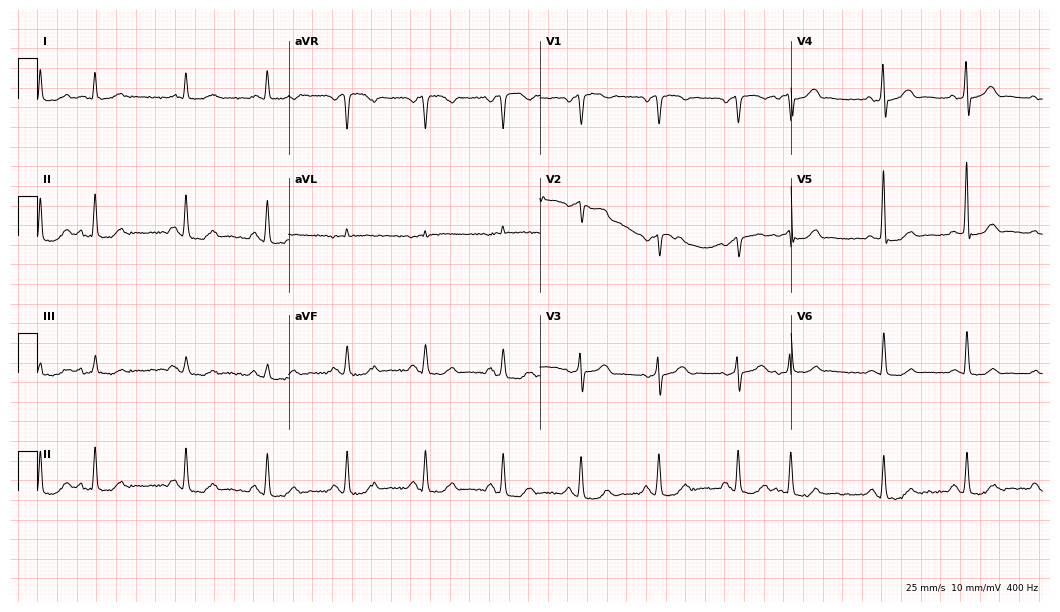
Resting 12-lead electrocardiogram (10.2-second recording at 400 Hz). Patient: a man, 70 years old. None of these six findings is recorded: first-degree AV block, right bundle branch block, left bundle branch block, sinus bradycardia, atrial fibrillation, sinus tachycardia. Only these six findings were labelled.